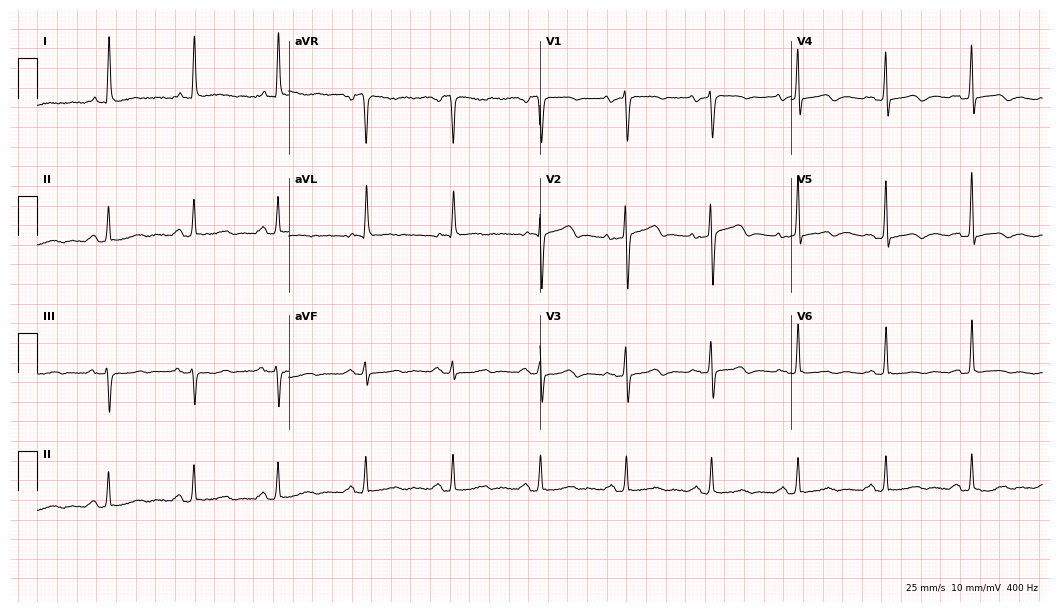
Electrocardiogram, an 85-year-old female. Of the six screened findings (first-degree AV block, right bundle branch block (RBBB), left bundle branch block (LBBB), sinus bradycardia, atrial fibrillation (AF), sinus tachycardia), none is recorded. Only these six findings were labelled.